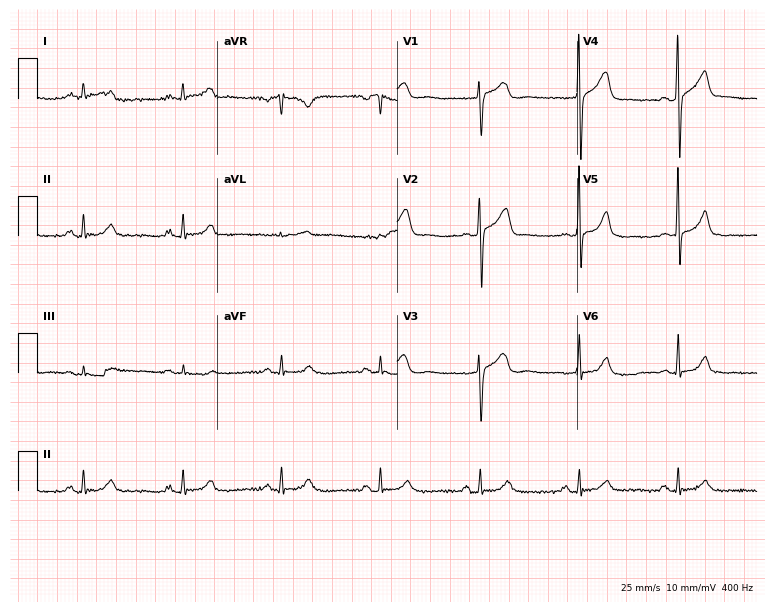
Standard 12-lead ECG recorded from a male, 69 years old (7.3-second recording at 400 Hz). Read as a normal ECG.